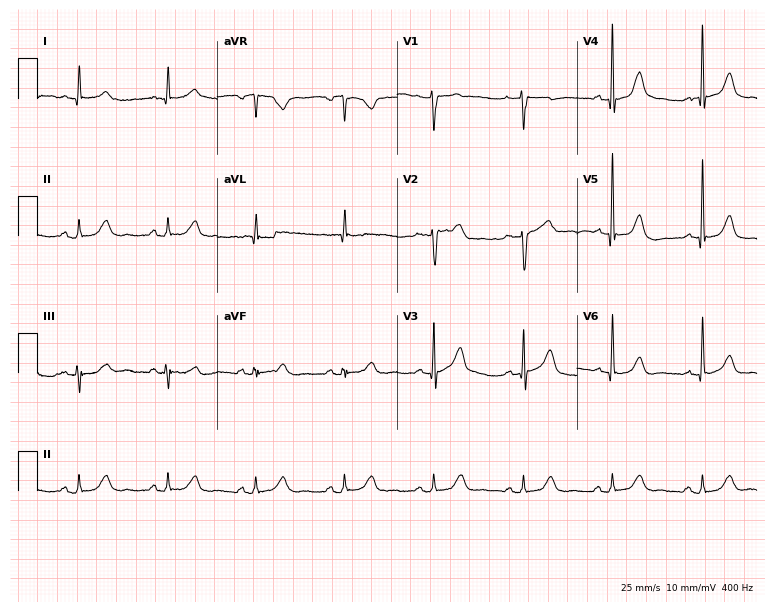
ECG (7.3-second recording at 400 Hz) — a female, 84 years old. Screened for six findings — first-degree AV block, right bundle branch block (RBBB), left bundle branch block (LBBB), sinus bradycardia, atrial fibrillation (AF), sinus tachycardia — none is recorded.